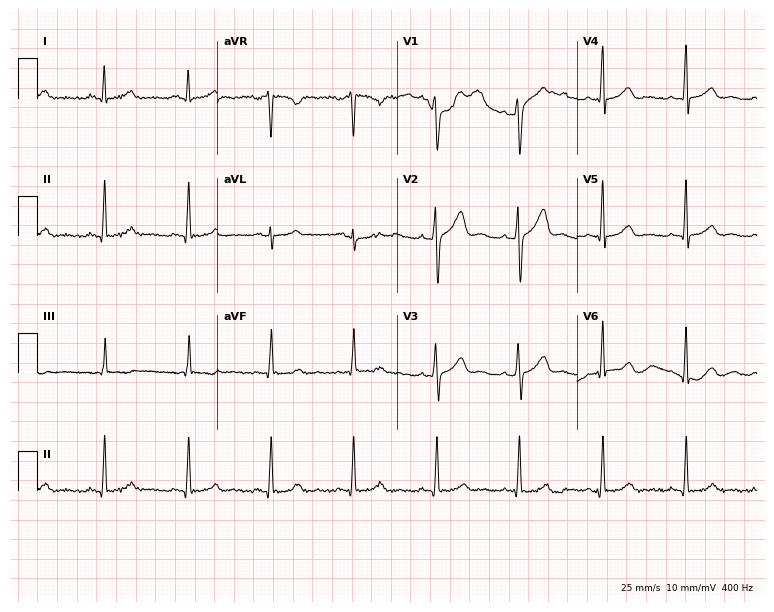
Standard 12-lead ECG recorded from a 38-year-old woman (7.3-second recording at 400 Hz). Read as a normal ECG.